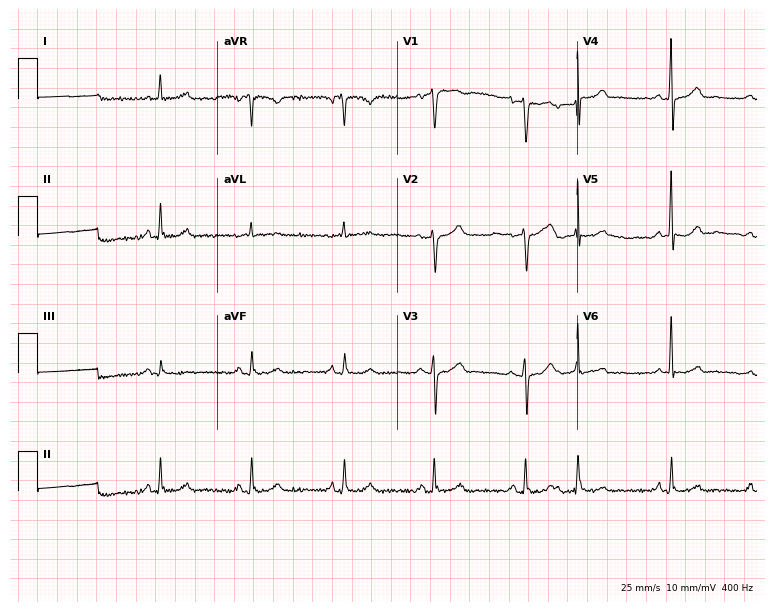
ECG — a female patient, 72 years old. Screened for six findings — first-degree AV block, right bundle branch block, left bundle branch block, sinus bradycardia, atrial fibrillation, sinus tachycardia — none is recorded.